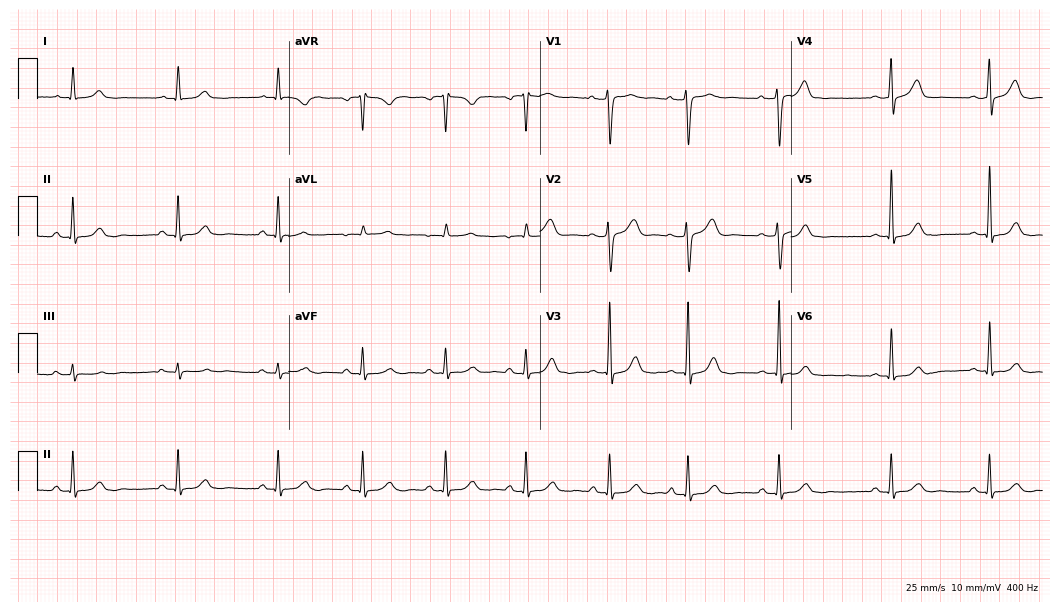
Standard 12-lead ECG recorded from a 50-year-old woman. Read as a normal ECG.